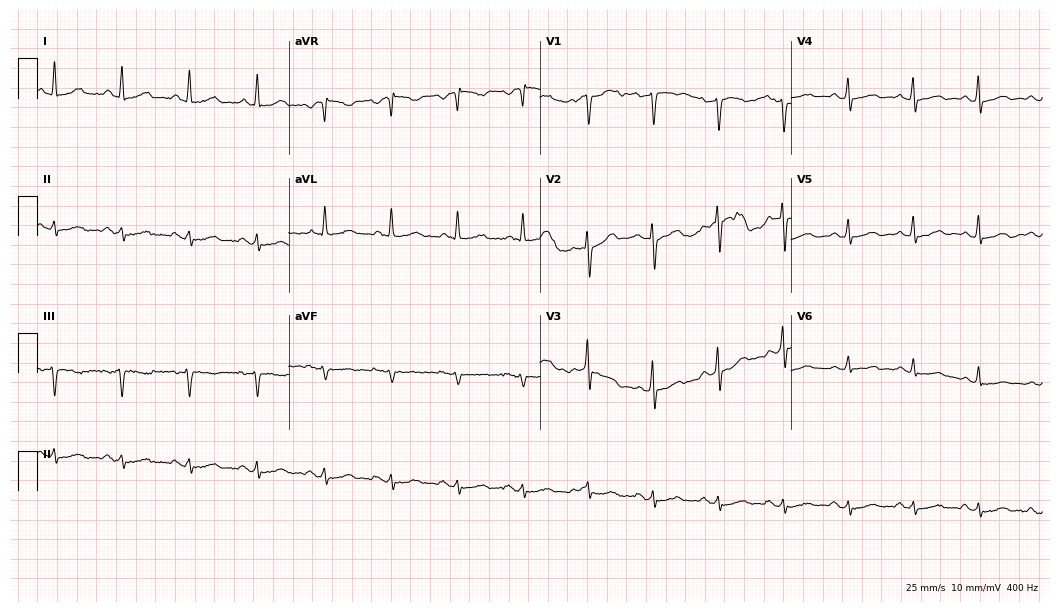
12-lead ECG from a female, 61 years old. Screened for six findings — first-degree AV block, right bundle branch block, left bundle branch block, sinus bradycardia, atrial fibrillation, sinus tachycardia — none is recorded.